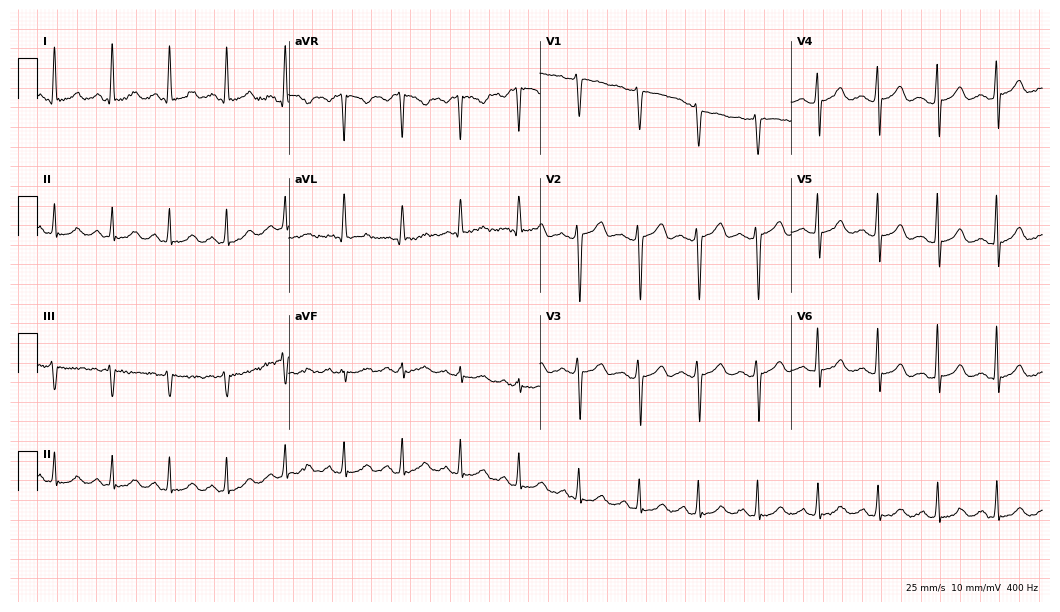
12-lead ECG from a woman, 46 years old. Recorded interpretation: within normal limits.